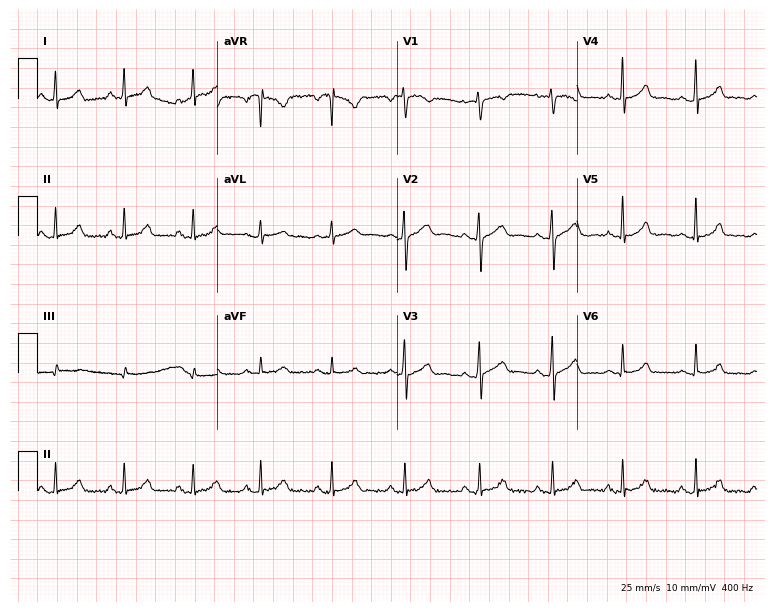
Electrocardiogram, a female, 30 years old. Of the six screened findings (first-degree AV block, right bundle branch block, left bundle branch block, sinus bradycardia, atrial fibrillation, sinus tachycardia), none is recorded. Only these six findings were labelled.